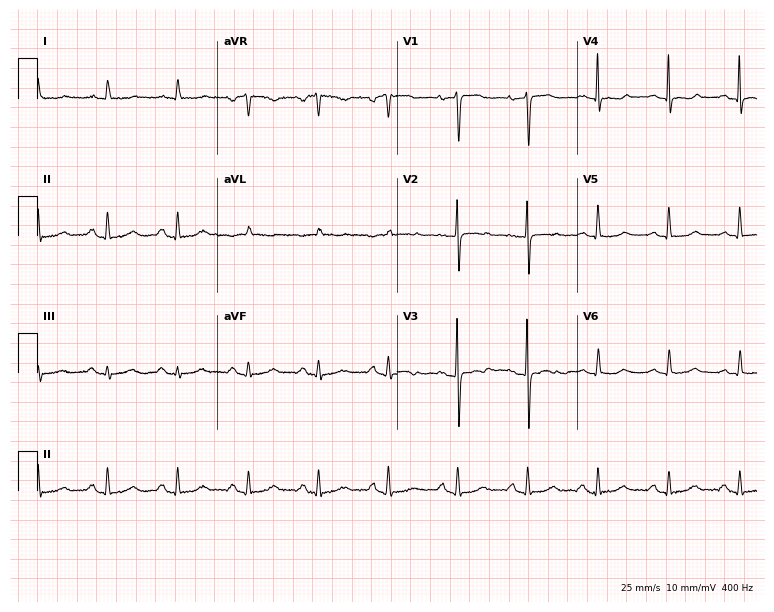
Standard 12-lead ECG recorded from a female, 76 years old. None of these six findings is recorded: first-degree AV block, right bundle branch block, left bundle branch block, sinus bradycardia, atrial fibrillation, sinus tachycardia. Other findings, if any, are not listed.